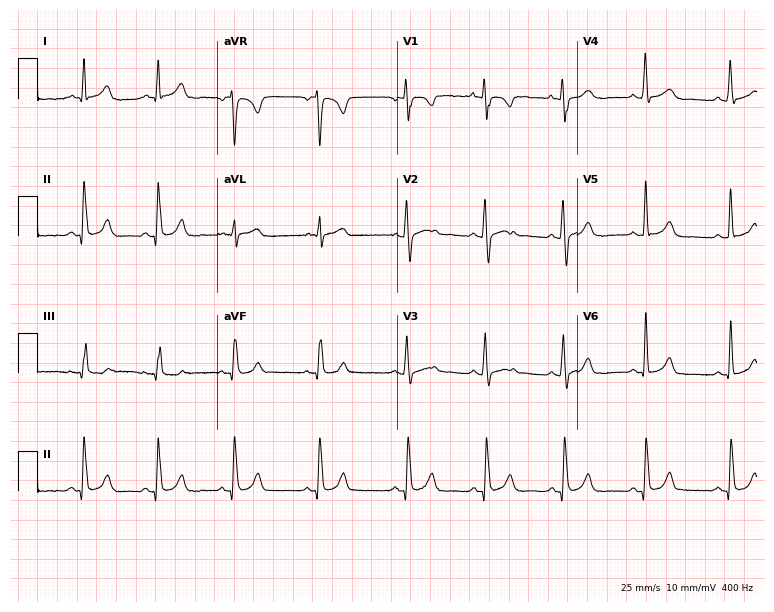
12-lead ECG from a woman, 25 years old (7.3-second recording at 400 Hz). No first-degree AV block, right bundle branch block (RBBB), left bundle branch block (LBBB), sinus bradycardia, atrial fibrillation (AF) or sinus tachycardia recorded for this tracing.